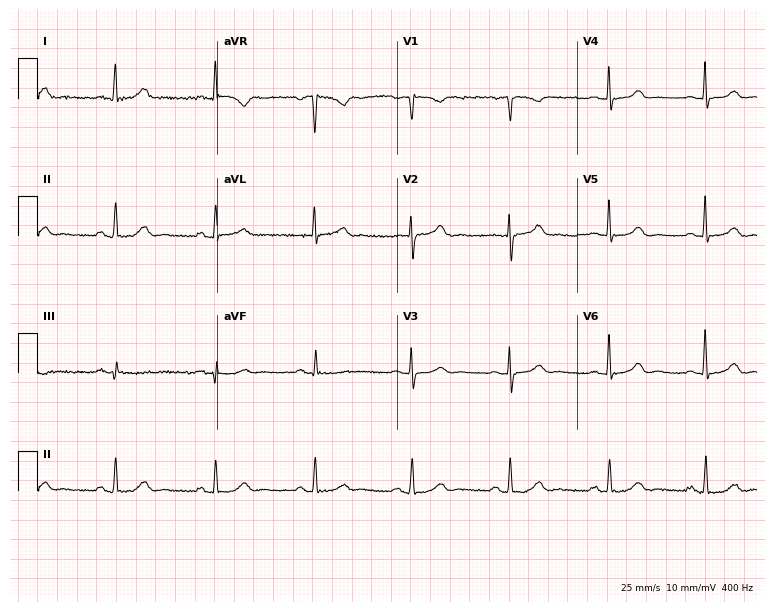
12-lead ECG (7.3-second recording at 400 Hz) from a female, 74 years old. Labelled as a normal ECG.